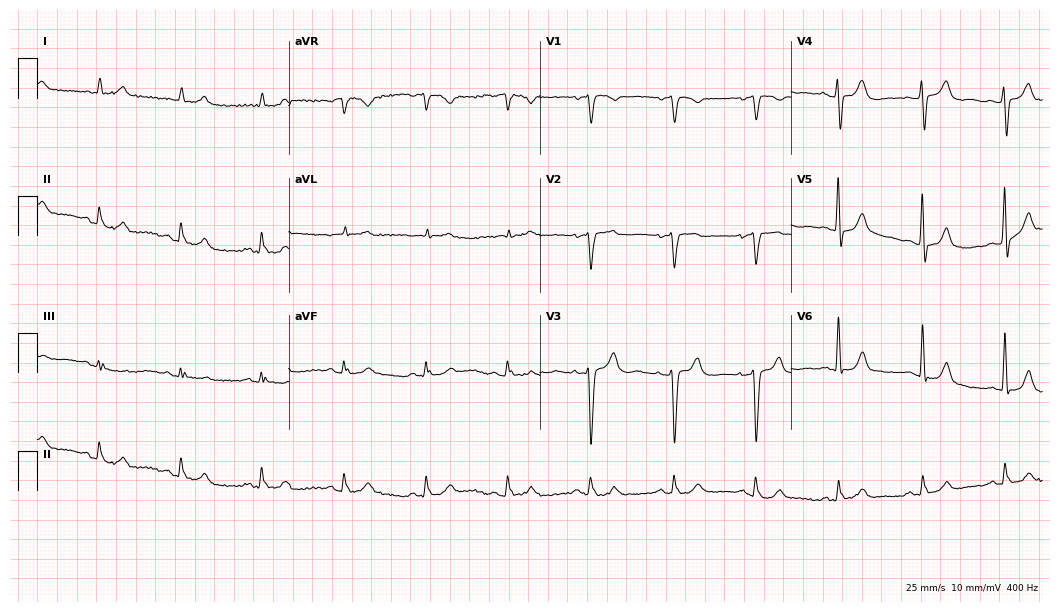
ECG — a male, 81 years old. Screened for six findings — first-degree AV block, right bundle branch block, left bundle branch block, sinus bradycardia, atrial fibrillation, sinus tachycardia — none is recorded.